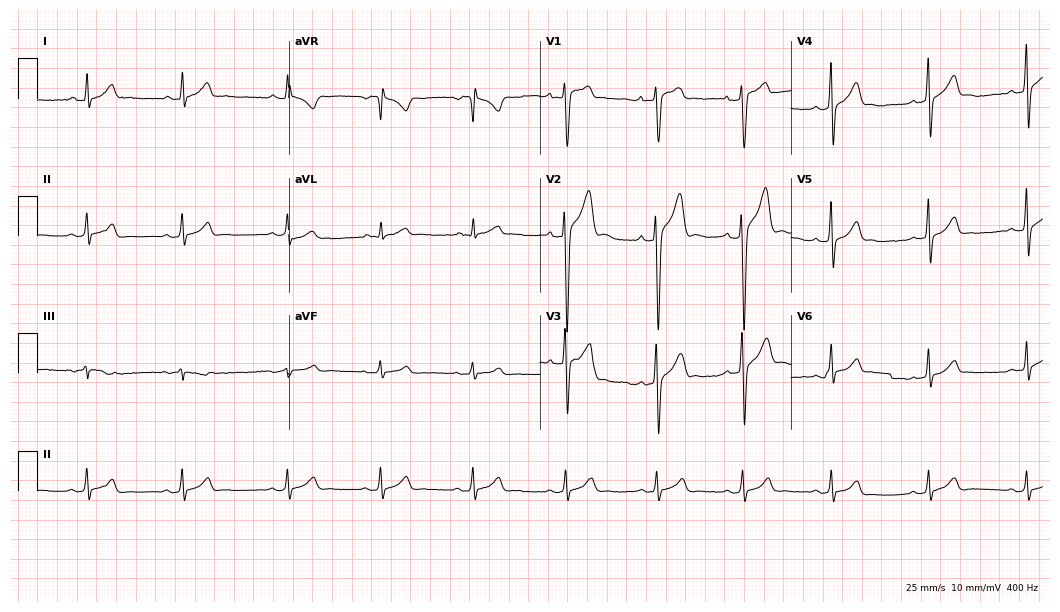
ECG — a 24-year-old male patient. Labelled as a normal ECG.